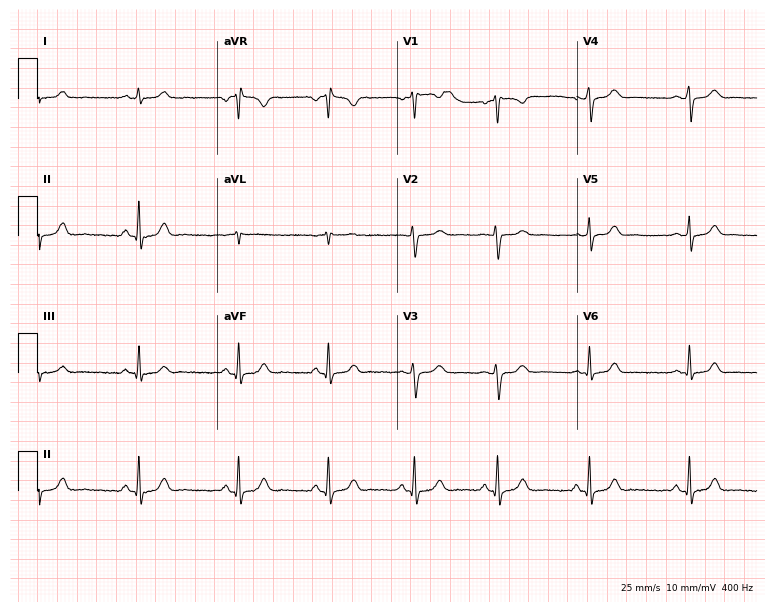
12-lead ECG from a woman, 18 years old. Labelled as a normal ECG.